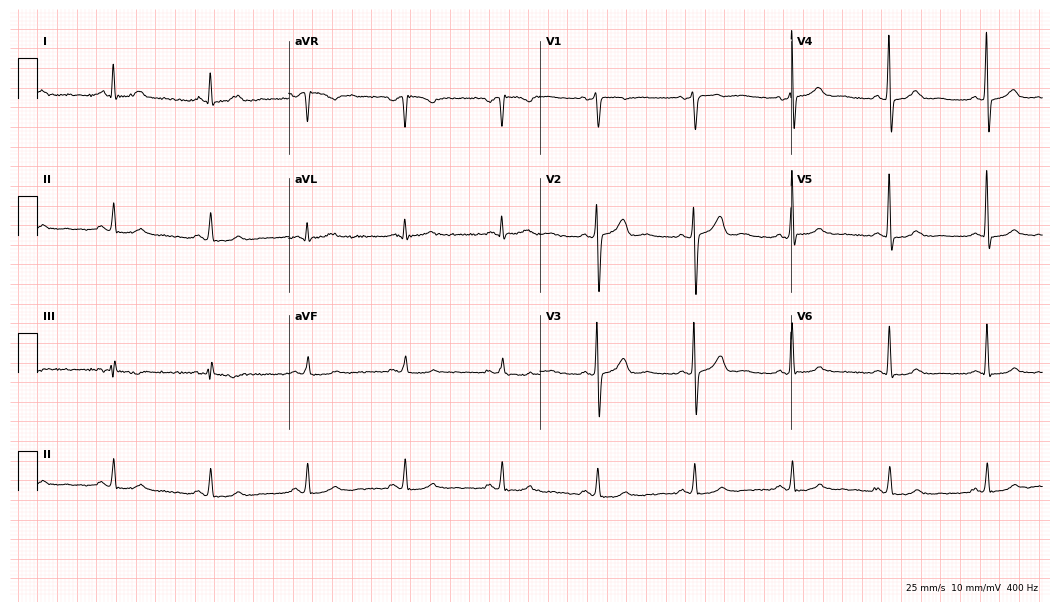
ECG — a 54-year-old male patient. Labelled as a normal ECG.